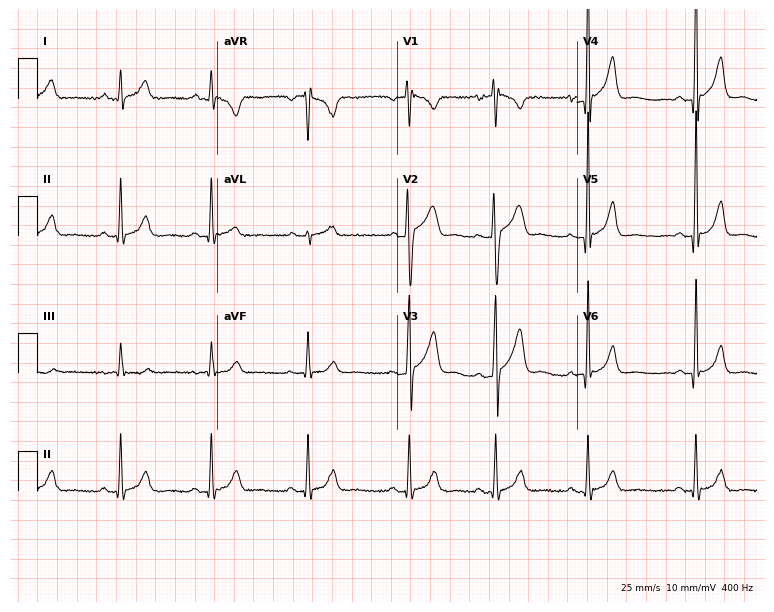
12-lead ECG from a 26-year-old man (7.3-second recording at 400 Hz). No first-degree AV block, right bundle branch block, left bundle branch block, sinus bradycardia, atrial fibrillation or sinus tachycardia recorded for this tracing.